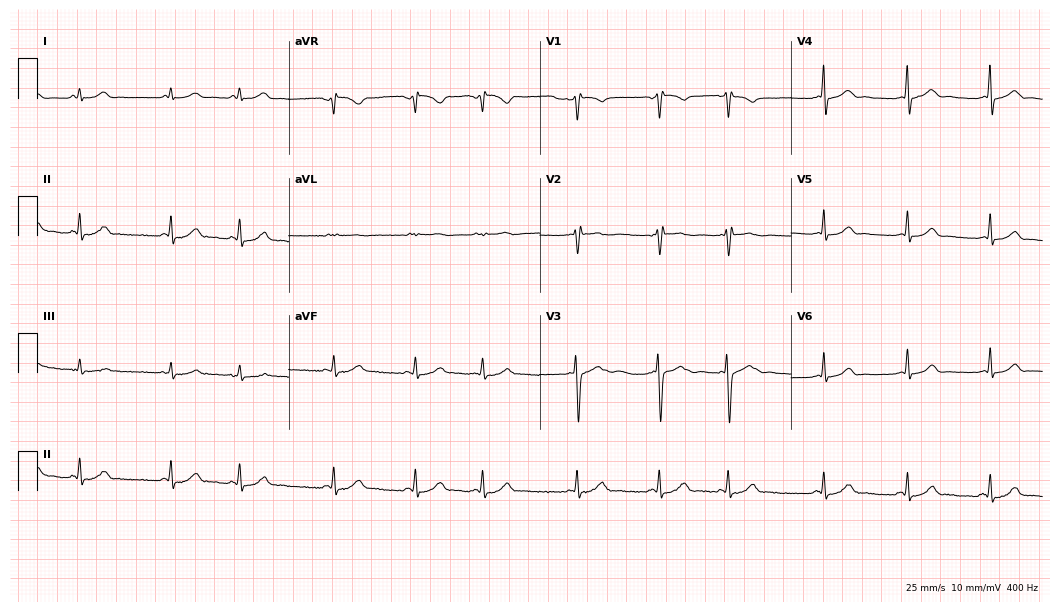
Resting 12-lead electrocardiogram. Patient: a female, 42 years old. Read as a normal ECG.